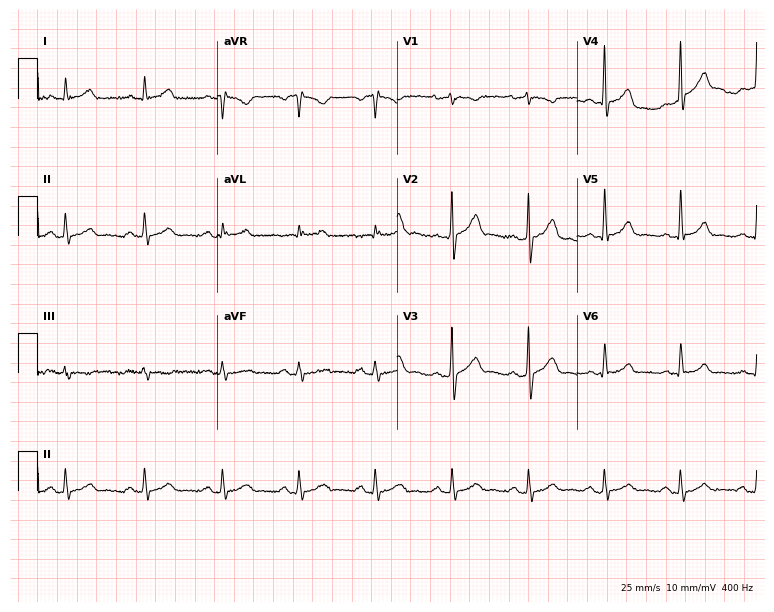
Resting 12-lead electrocardiogram. Patient: a 37-year-old male. Read as a normal ECG.